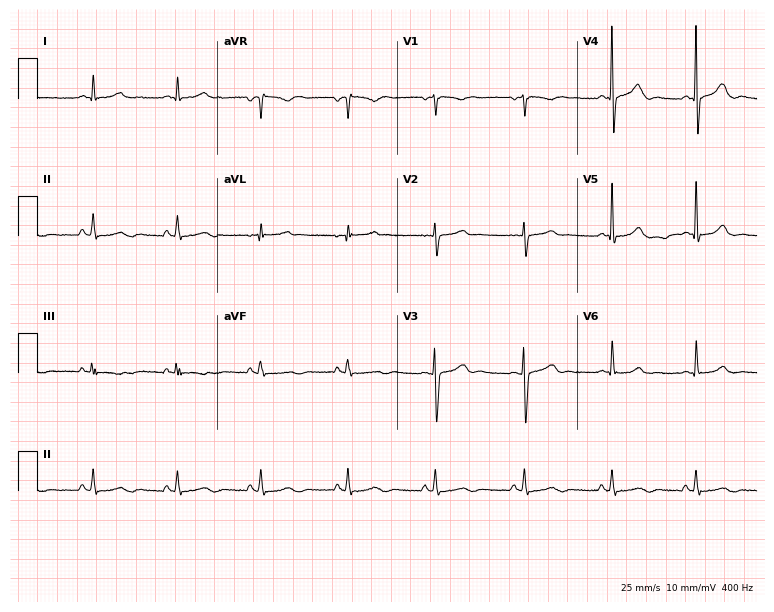
ECG (7.3-second recording at 400 Hz) — a 35-year-old female. Screened for six findings — first-degree AV block, right bundle branch block, left bundle branch block, sinus bradycardia, atrial fibrillation, sinus tachycardia — none is recorded.